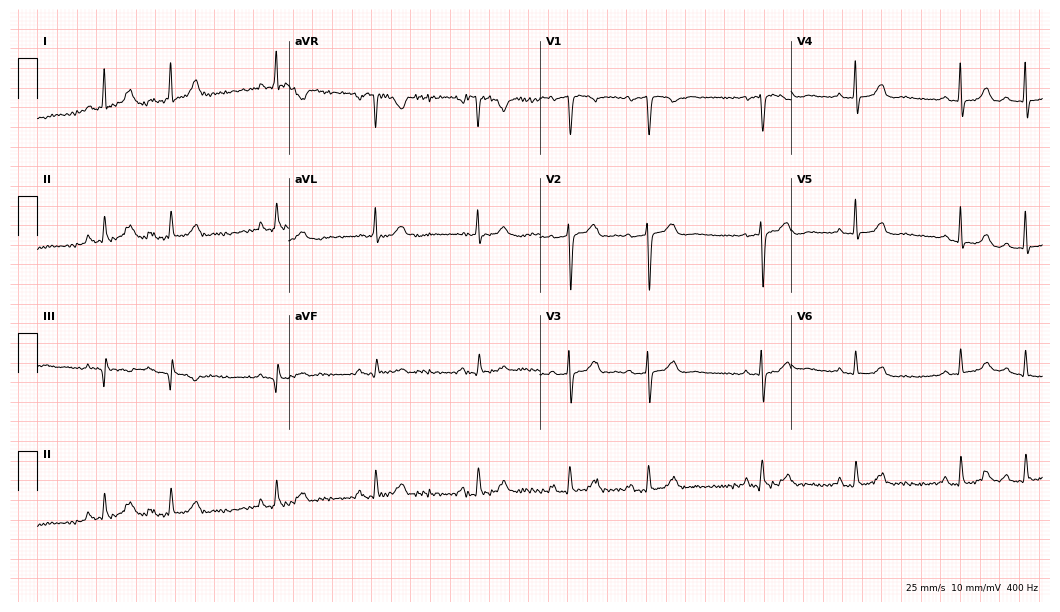
12-lead ECG from a 73-year-old woman. No first-degree AV block, right bundle branch block, left bundle branch block, sinus bradycardia, atrial fibrillation or sinus tachycardia recorded for this tracing. Only these six findings were labelled.